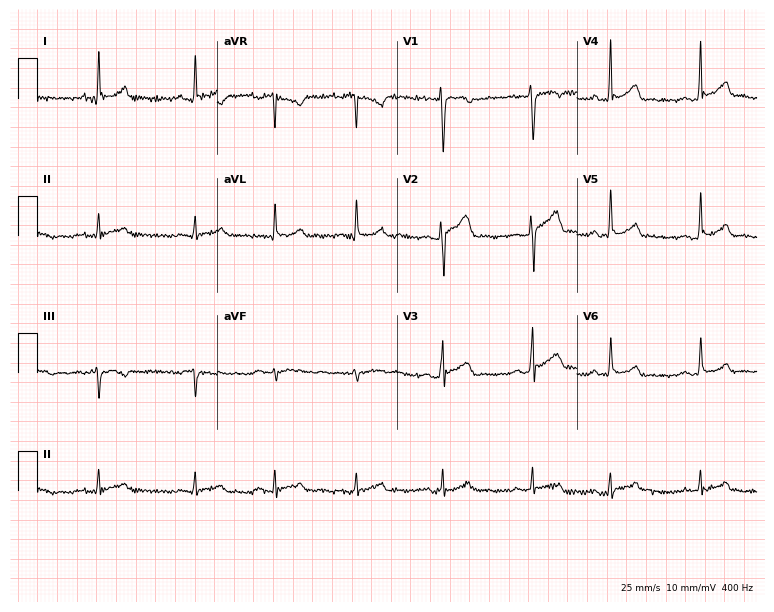
Resting 12-lead electrocardiogram. Patient: a 25-year-old female. Read as a normal ECG.